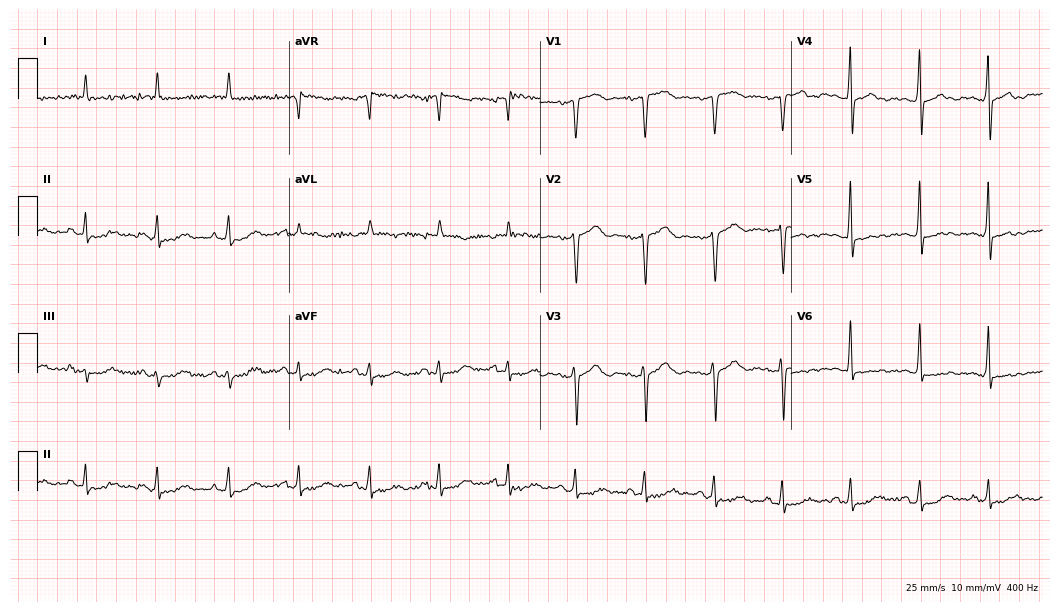
Resting 12-lead electrocardiogram (10.2-second recording at 400 Hz). Patient: a 77-year-old woman. None of these six findings is recorded: first-degree AV block, right bundle branch block (RBBB), left bundle branch block (LBBB), sinus bradycardia, atrial fibrillation (AF), sinus tachycardia. Other findings, if any, are not listed.